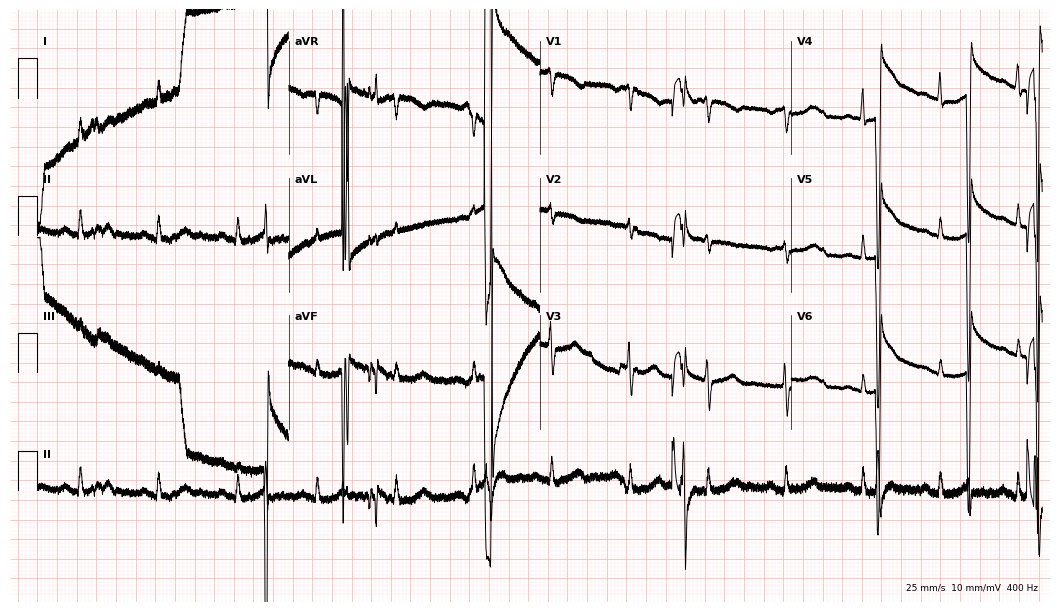
Resting 12-lead electrocardiogram (10.2-second recording at 400 Hz). Patient: a woman, 76 years old. None of these six findings is recorded: first-degree AV block, right bundle branch block (RBBB), left bundle branch block (LBBB), sinus bradycardia, atrial fibrillation (AF), sinus tachycardia. Only these six findings were labelled.